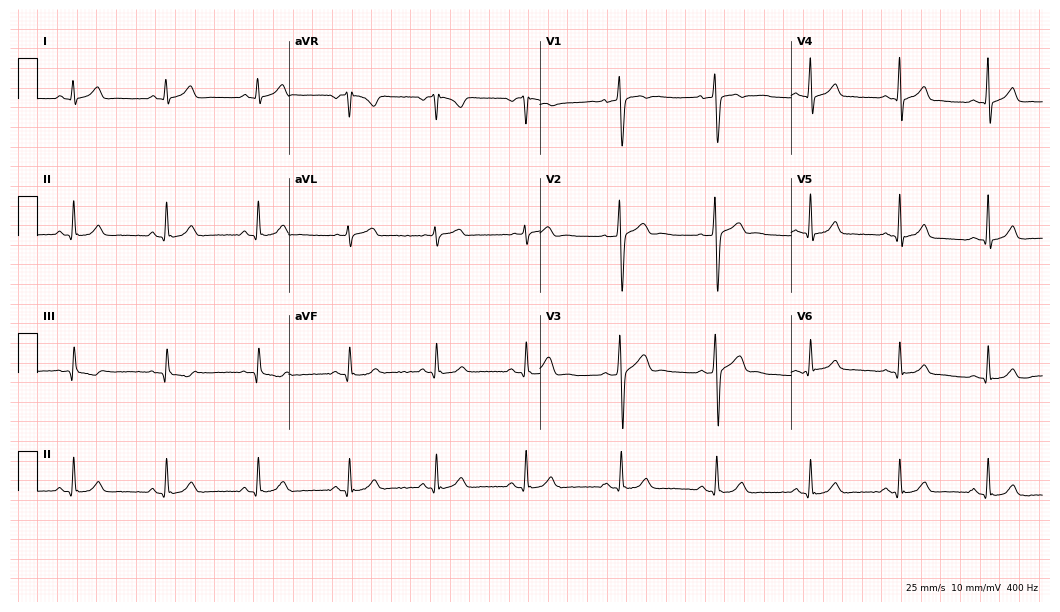
ECG — a male patient, 31 years old. Labelled as a normal ECG.